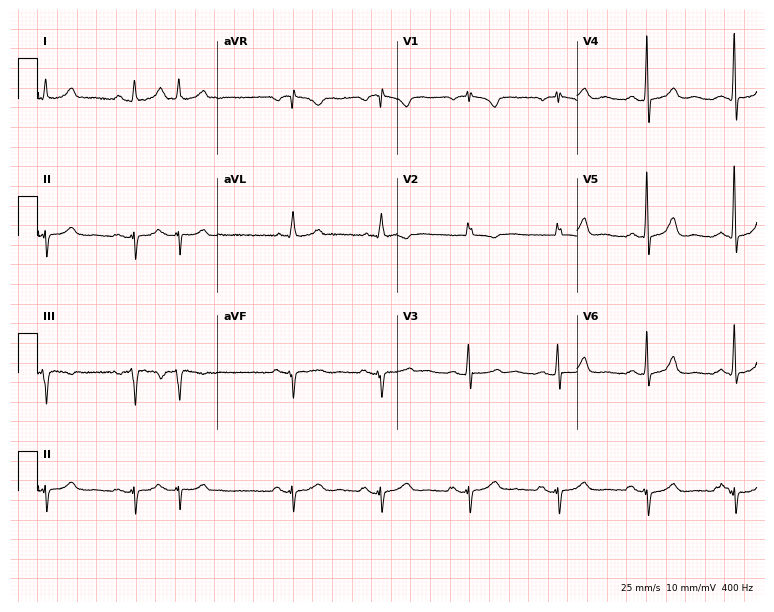
ECG — a 72-year-old woman. Screened for six findings — first-degree AV block, right bundle branch block (RBBB), left bundle branch block (LBBB), sinus bradycardia, atrial fibrillation (AF), sinus tachycardia — none is recorded. Findings outside these six are not listed.